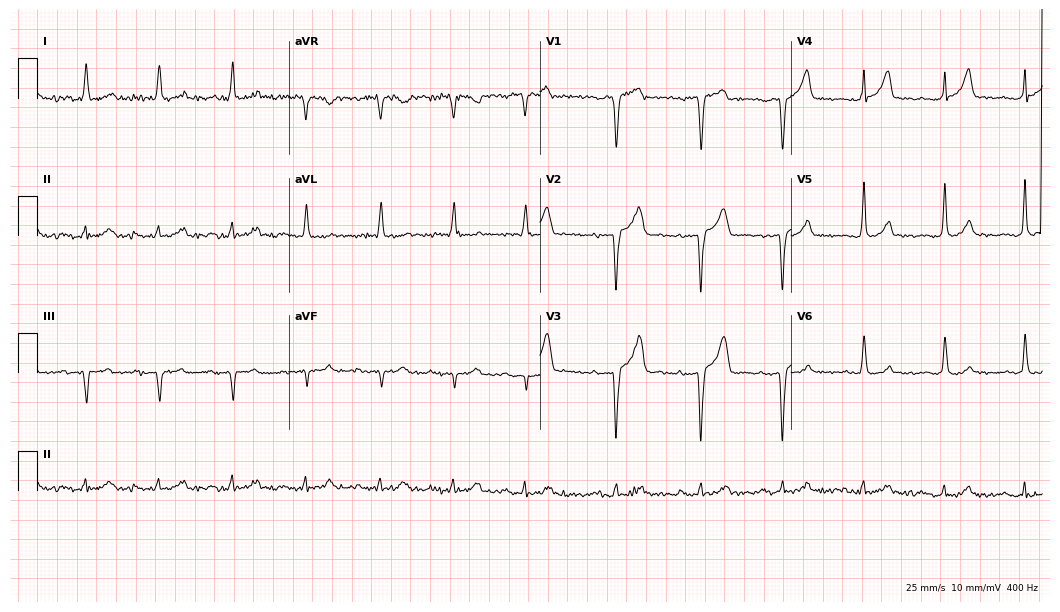
12-lead ECG from a male, 82 years old (10.2-second recording at 400 Hz). No first-degree AV block, right bundle branch block (RBBB), left bundle branch block (LBBB), sinus bradycardia, atrial fibrillation (AF) or sinus tachycardia recorded for this tracing. Findings outside these six are not listed.